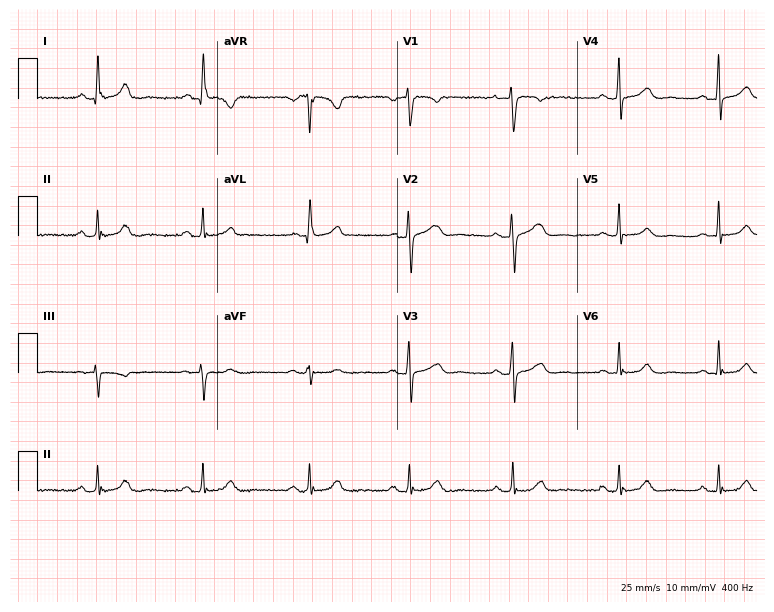
Electrocardiogram, a 50-year-old female patient. Of the six screened findings (first-degree AV block, right bundle branch block, left bundle branch block, sinus bradycardia, atrial fibrillation, sinus tachycardia), none is recorded.